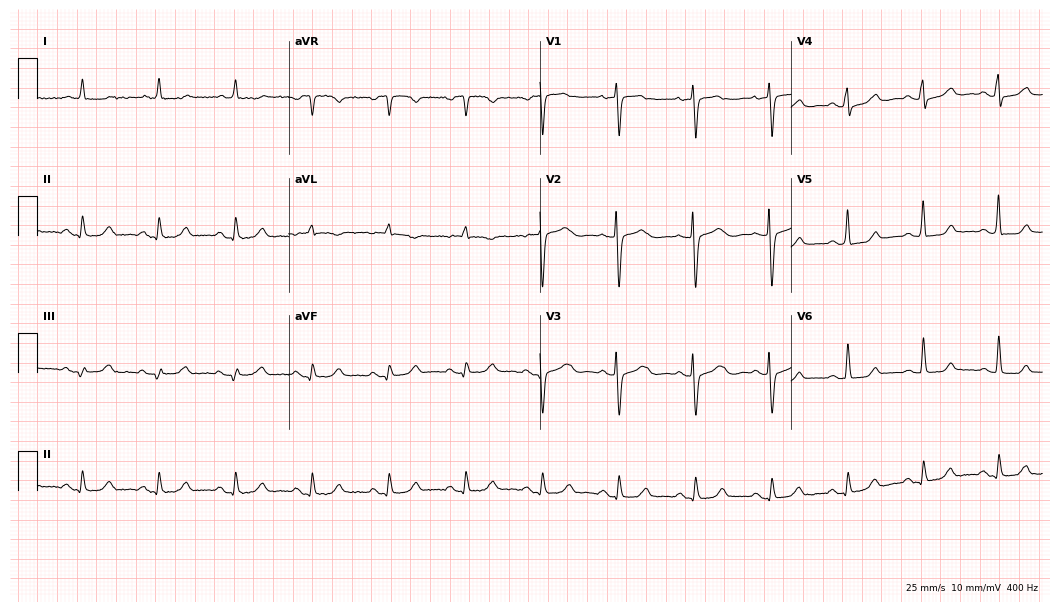
ECG — a 75-year-old woman. Screened for six findings — first-degree AV block, right bundle branch block (RBBB), left bundle branch block (LBBB), sinus bradycardia, atrial fibrillation (AF), sinus tachycardia — none is recorded.